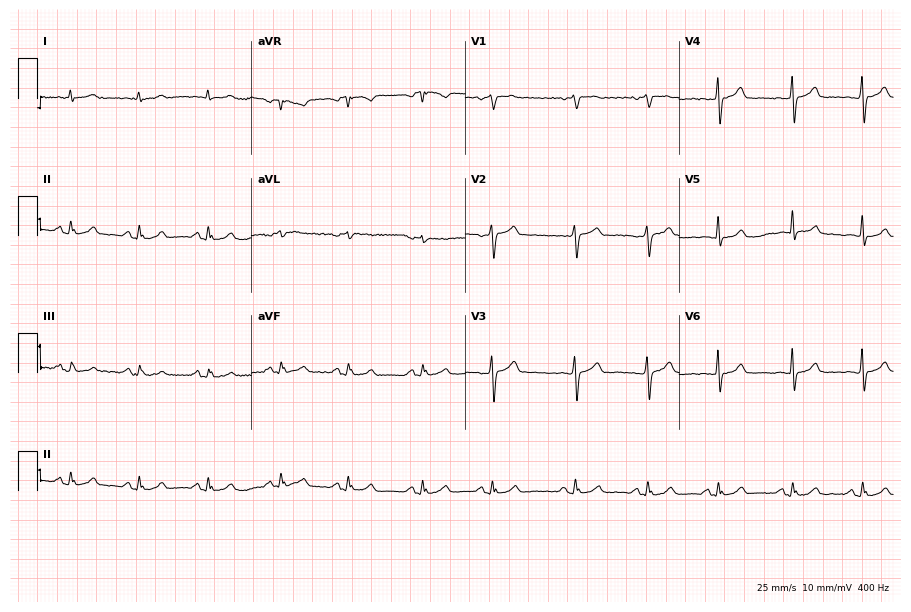
Electrocardiogram (8.7-second recording at 400 Hz), a male patient, 61 years old. Overall reading on record: normal ECG.